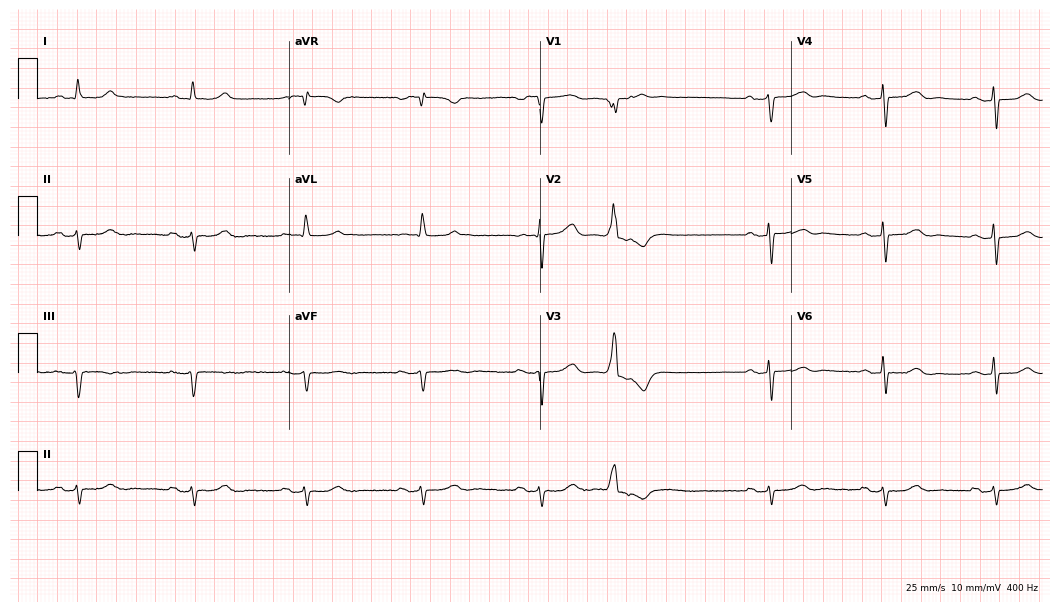
12-lead ECG from an 81-year-old woman (10.2-second recording at 400 Hz). Shows first-degree AV block.